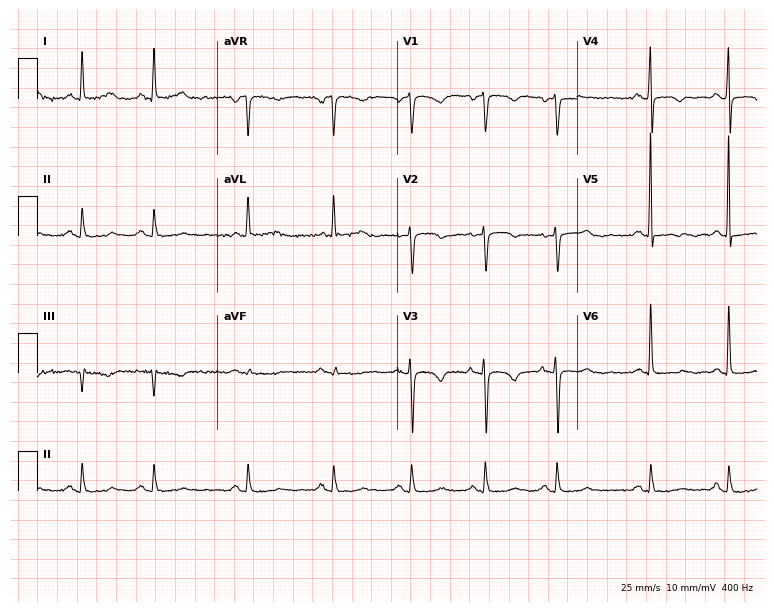
Electrocardiogram (7.3-second recording at 400 Hz), a 68-year-old female patient. Of the six screened findings (first-degree AV block, right bundle branch block, left bundle branch block, sinus bradycardia, atrial fibrillation, sinus tachycardia), none is recorded. Only these six findings were labelled.